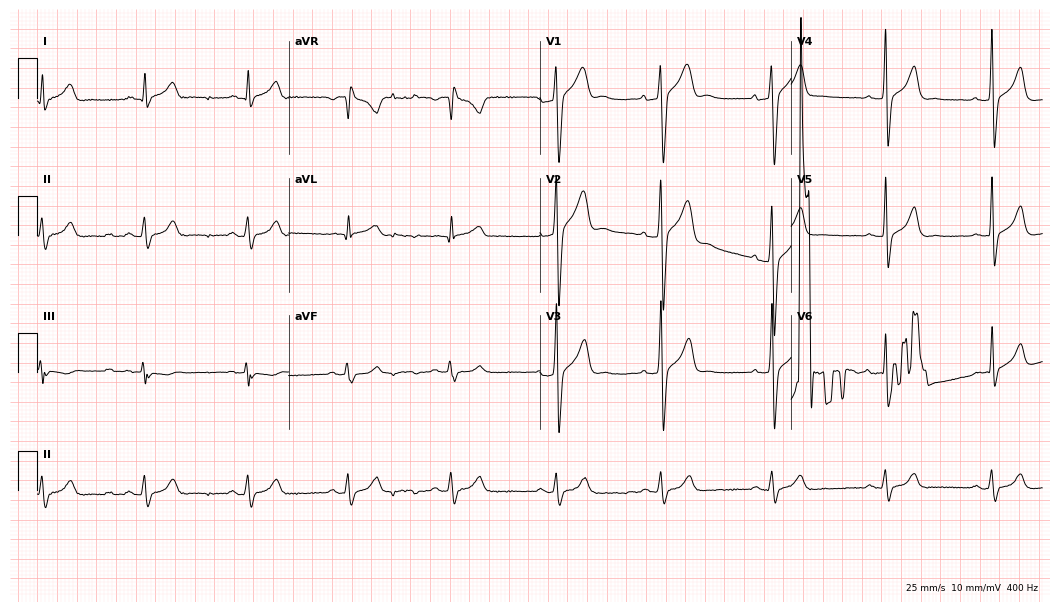
Resting 12-lead electrocardiogram. Patient: a 39-year-old man. None of these six findings is recorded: first-degree AV block, right bundle branch block, left bundle branch block, sinus bradycardia, atrial fibrillation, sinus tachycardia.